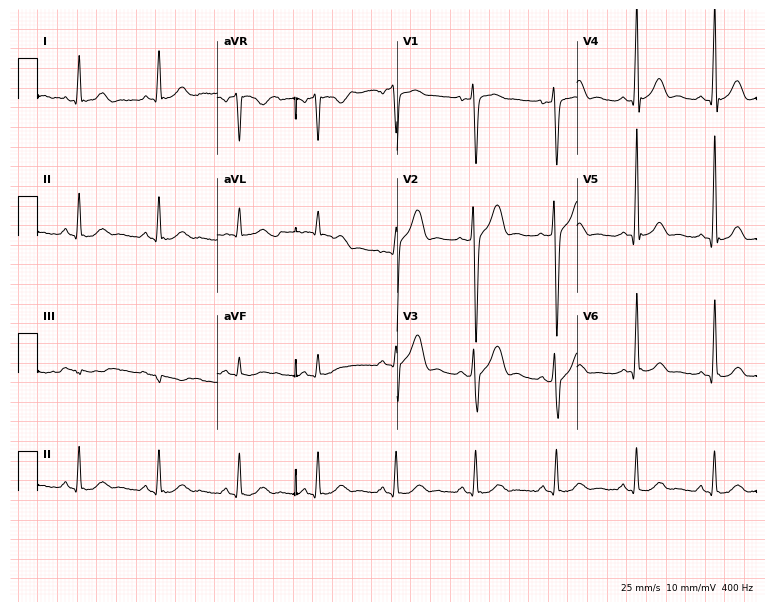
Resting 12-lead electrocardiogram. Patient: a 44-year-old male. None of these six findings is recorded: first-degree AV block, right bundle branch block, left bundle branch block, sinus bradycardia, atrial fibrillation, sinus tachycardia. Only these six findings were labelled.